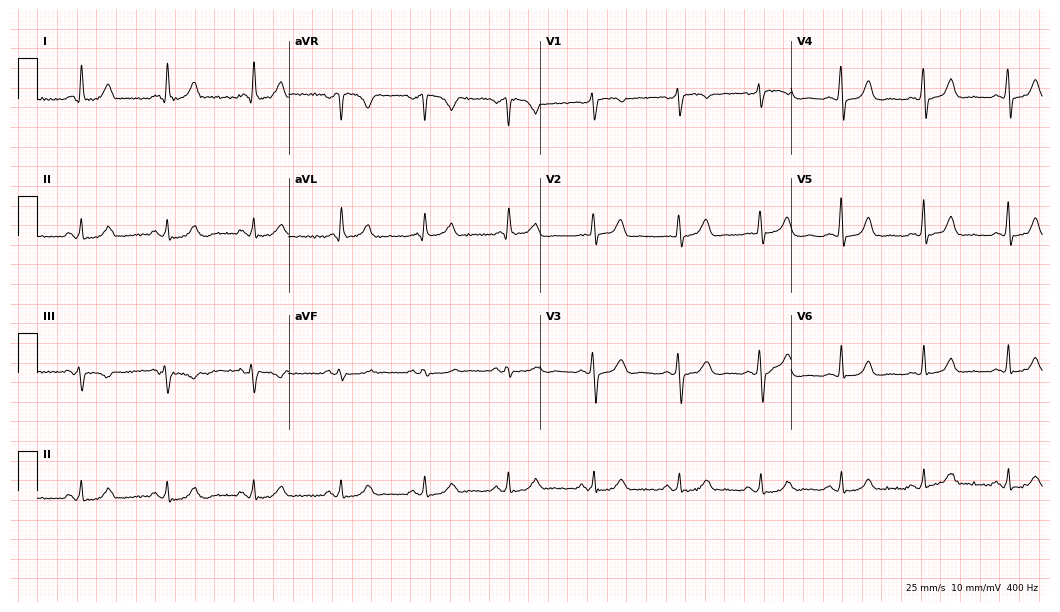
Electrocardiogram, a woman, 55 years old. Overall reading on record: normal ECG.